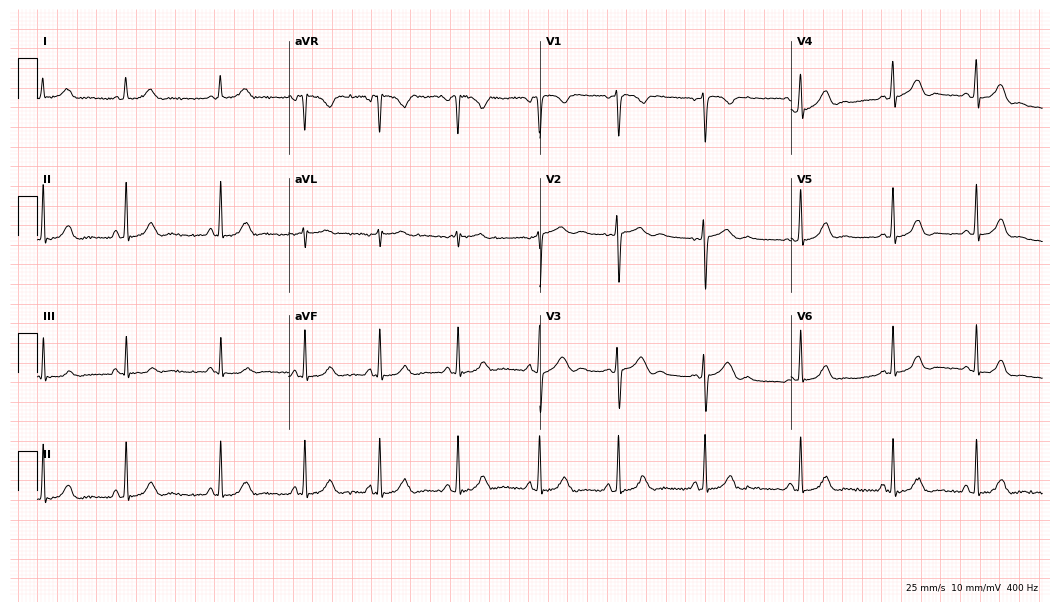
ECG (10.2-second recording at 400 Hz) — a female, 28 years old. Labelled as a normal ECG.